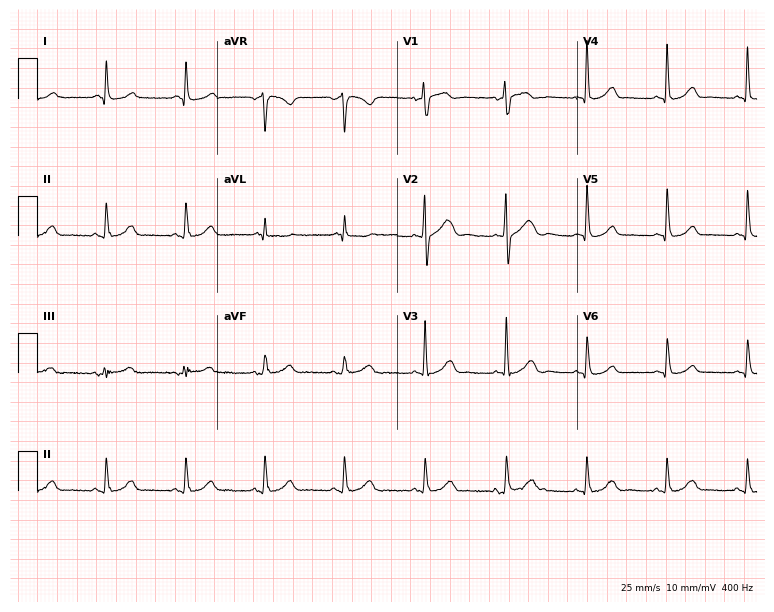
Electrocardiogram (7.3-second recording at 400 Hz), a 63-year-old female patient. Overall reading on record: normal ECG.